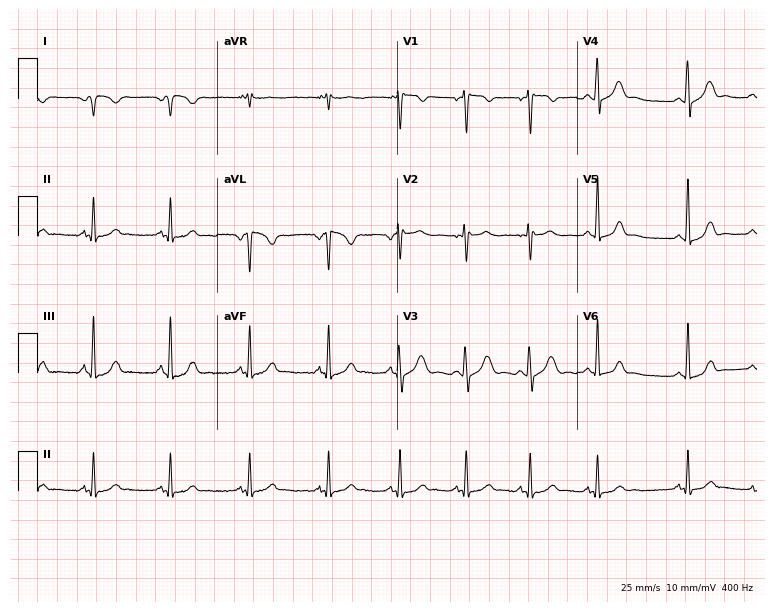
Electrocardiogram (7.3-second recording at 400 Hz), a 19-year-old woman. Of the six screened findings (first-degree AV block, right bundle branch block, left bundle branch block, sinus bradycardia, atrial fibrillation, sinus tachycardia), none is recorded. Findings outside these six are not listed.